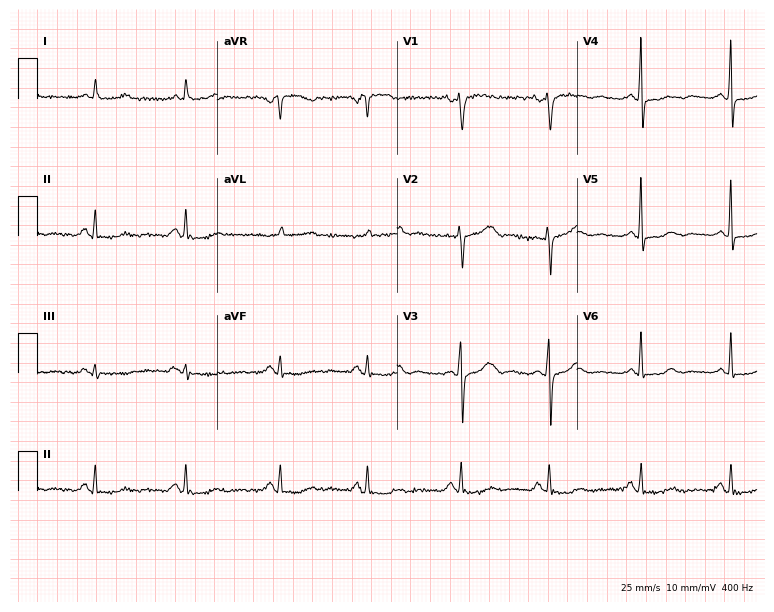
Electrocardiogram (7.3-second recording at 400 Hz), a 75-year-old female. Of the six screened findings (first-degree AV block, right bundle branch block (RBBB), left bundle branch block (LBBB), sinus bradycardia, atrial fibrillation (AF), sinus tachycardia), none is recorded. Findings outside these six are not listed.